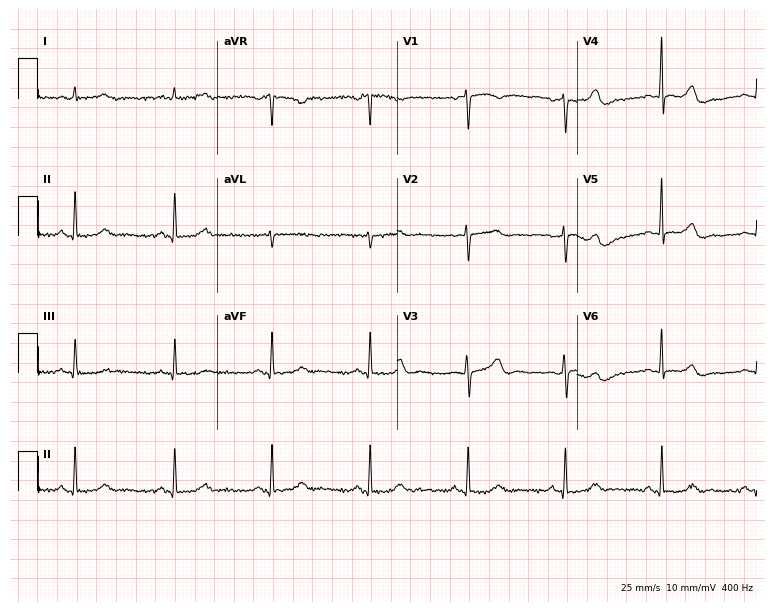
Resting 12-lead electrocardiogram. Patient: a 63-year-old woman. None of these six findings is recorded: first-degree AV block, right bundle branch block, left bundle branch block, sinus bradycardia, atrial fibrillation, sinus tachycardia.